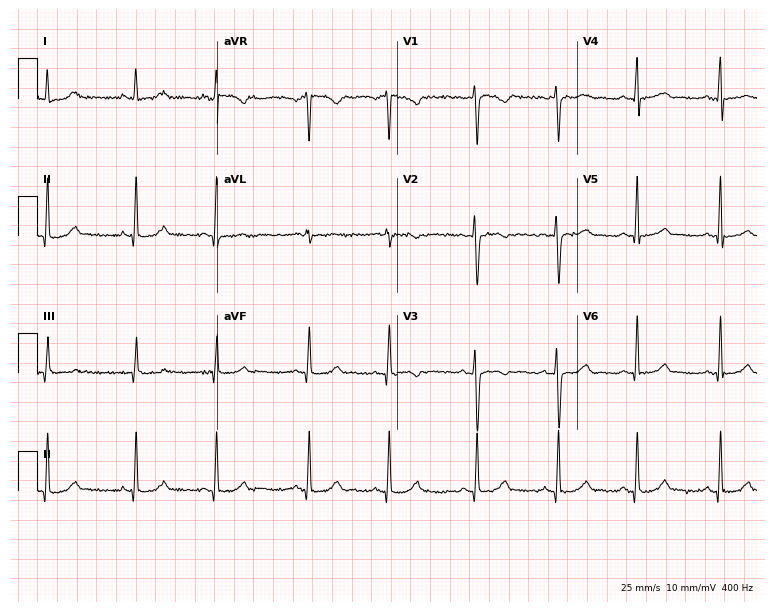
Electrocardiogram (7.3-second recording at 400 Hz), a female, 18 years old. Overall reading on record: normal ECG.